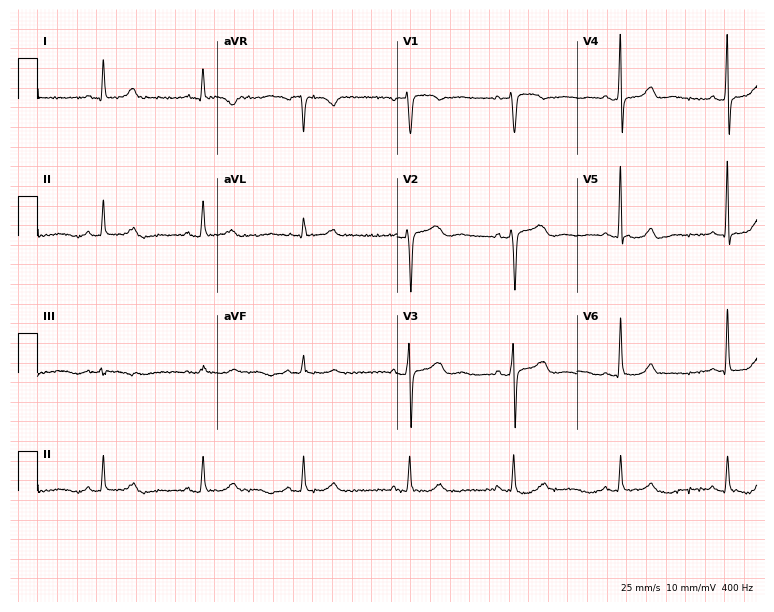
12-lead ECG from a woman, 60 years old (7.3-second recording at 400 Hz). Recorded interpretation: within normal limits.